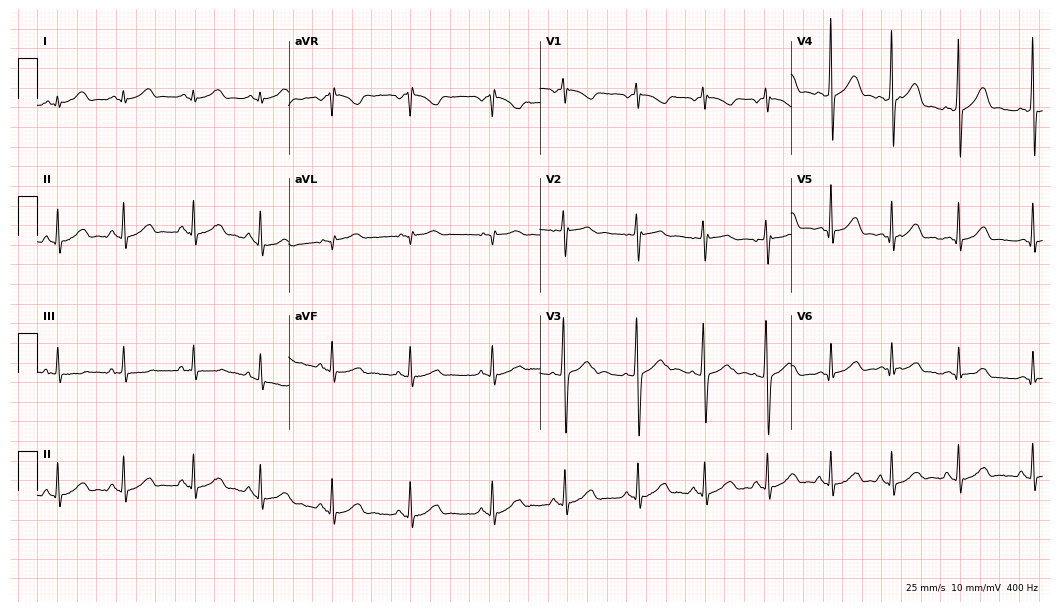
12-lead ECG (10.2-second recording at 400 Hz) from a male, 17 years old. Labelled as a normal ECG.